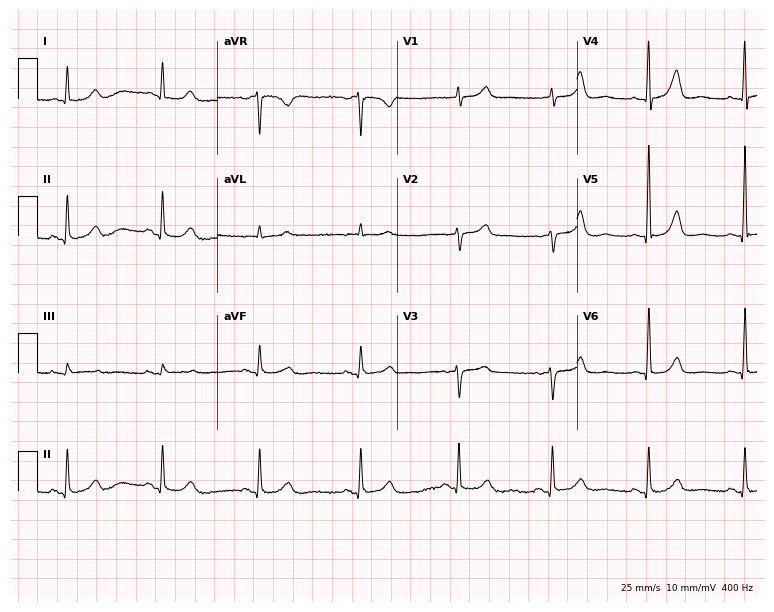
ECG (7.3-second recording at 400 Hz) — a female, 71 years old. Screened for six findings — first-degree AV block, right bundle branch block (RBBB), left bundle branch block (LBBB), sinus bradycardia, atrial fibrillation (AF), sinus tachycardia — none is recorded. Only these six findings were labelled.